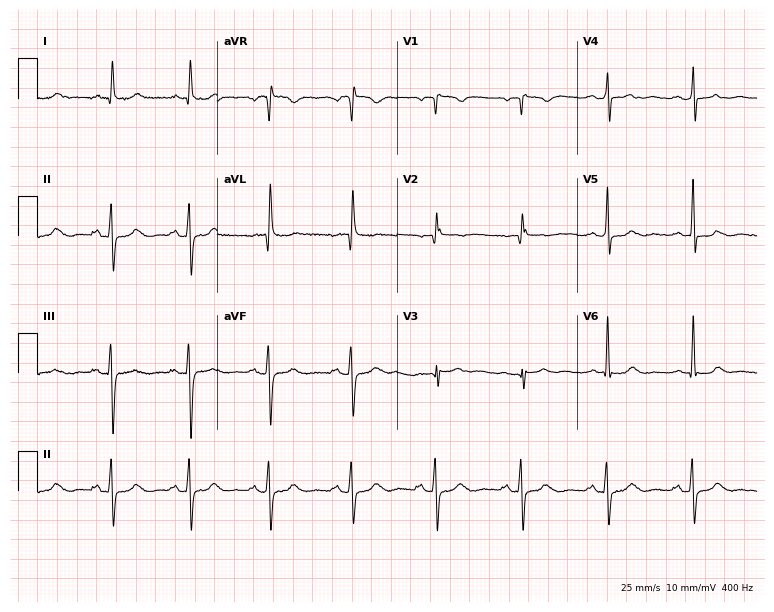
12-lead ECG from a 68-year-old female (7.3-second recording at 400 Hz). No first-degree AV block, right bundle branch block, left bundle branch block, sinus bradycardia, atrial fibrillation or sinus tachycardia recorded for this tracing. Only these six findings were labelled.